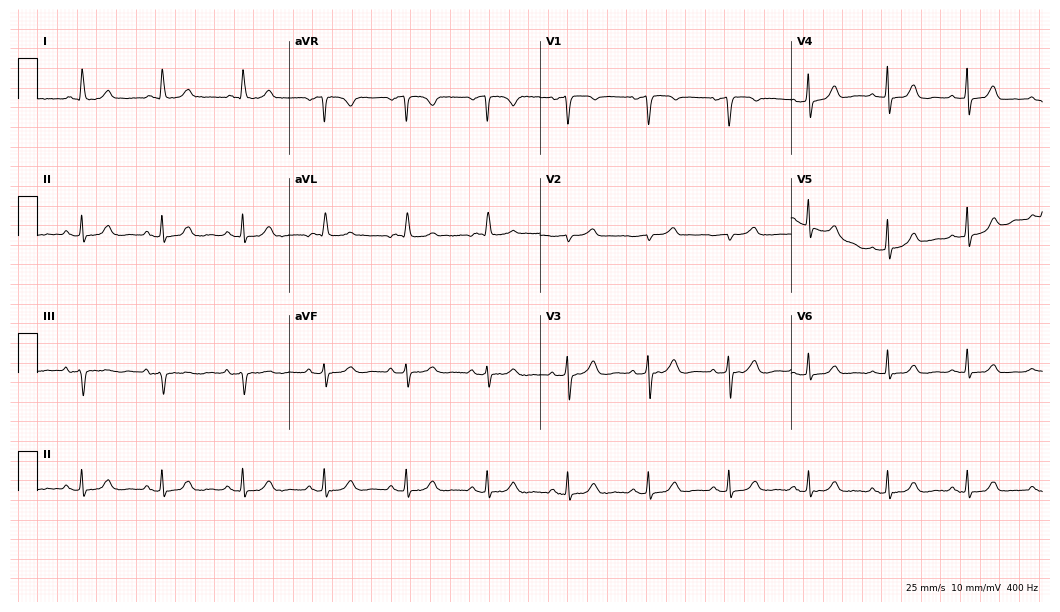
Standard 12-lead ECG recorded from an 83-year-old female patient. Read as a normal ECG.